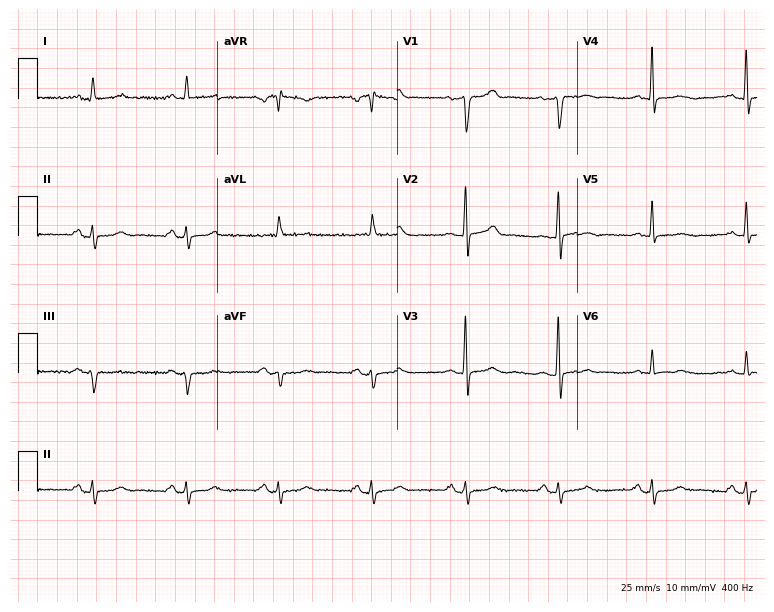
12-lead ECG from a 77-year-old male. No first-degree AV block, right bundle branch block, left bundle branch block, sinus bradycardia, atrial fibrillation or sinus tachycardia recorded for this tracing.